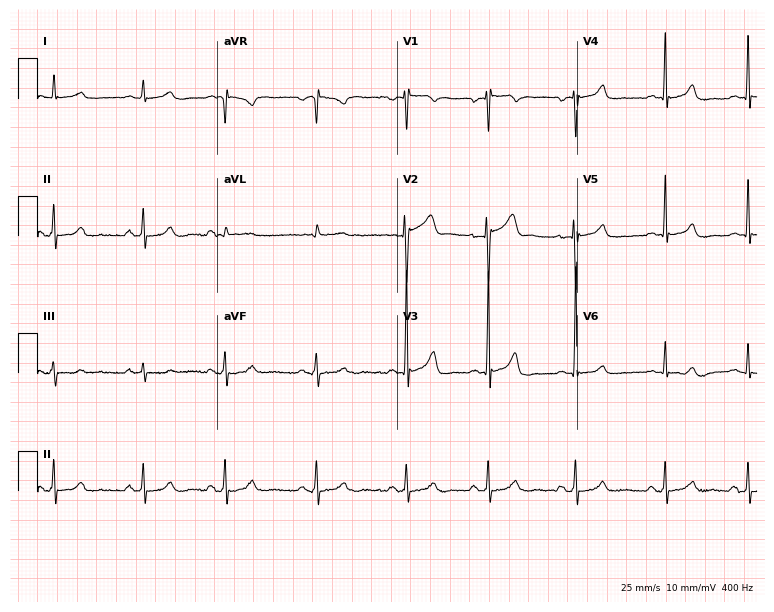
ECG — a 28-year-old man. Screened for six findings — first-degree AV block, right bundle branch block, left bundle branch block, sinus bradycardia, atrial fibrillation, sinus tachycardia — none is recorded.